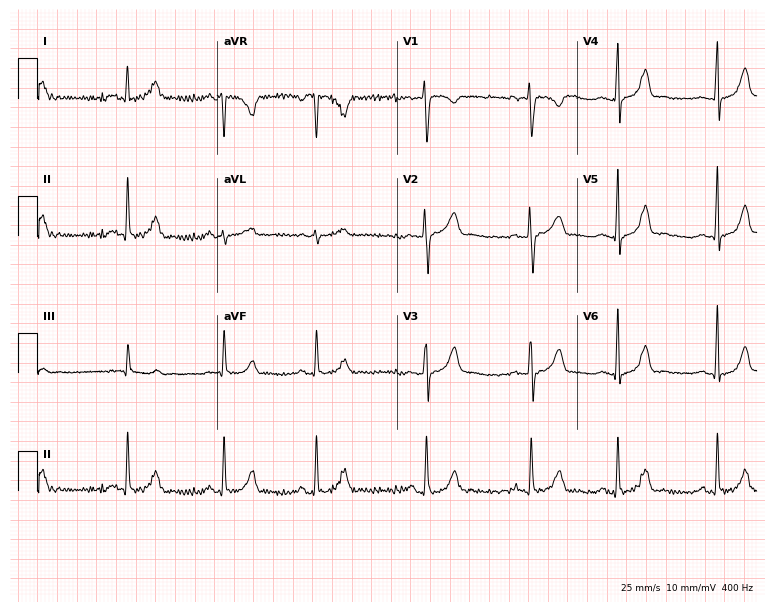
12-lead ECG (7.3-second recording at 400 Hz) from a woman, 24 years old. Labelled as a normal ECG.